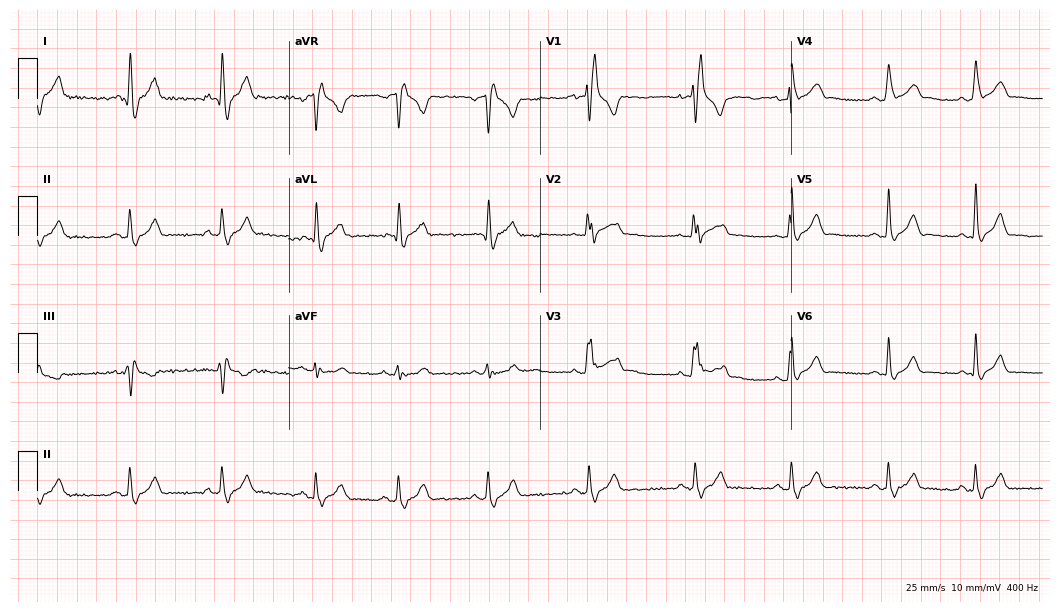
12-lead ECG (10.2-second recording at 400 Hz) from a 33-year-old male. Findings include right bundle branch block.